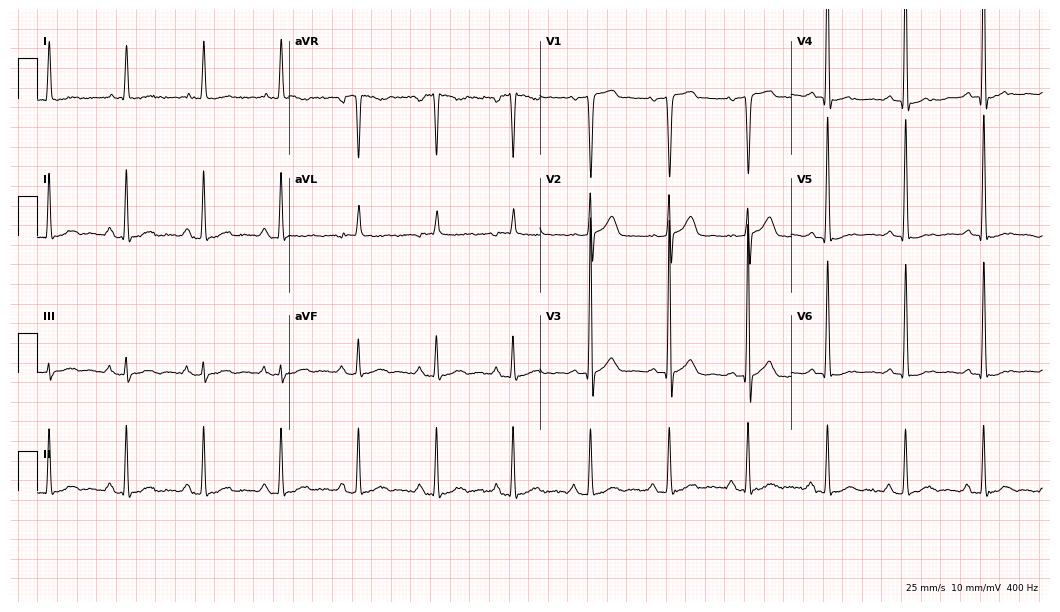
ECG (10.2-second recording at 400 Hz) — a 72-year-old male. Screened for six findings — first-degree AV block, right bundle branch block, left bundle branch block, sinus bradycardia, atrial fibrillation, sinus tachycardia — none is recorded.